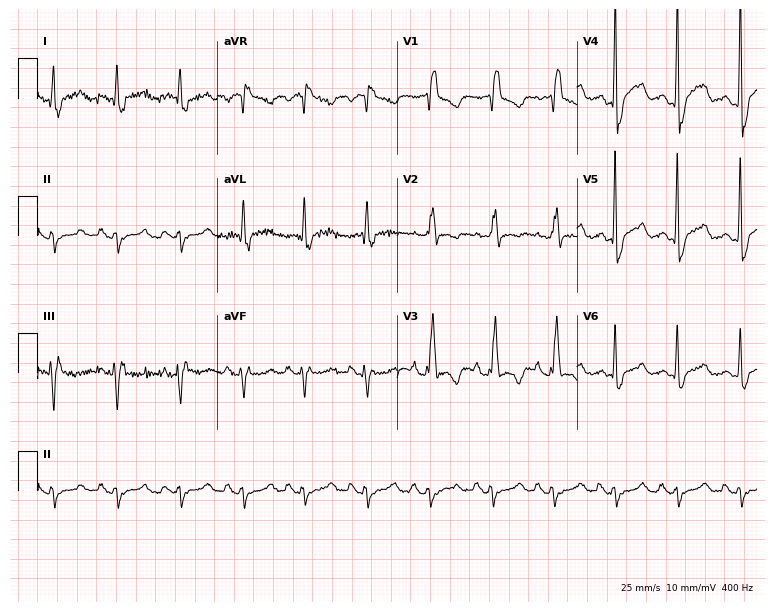
12-lead ECG from a 62-year-old male patient. Findings include right bundle branch block (RBBB).